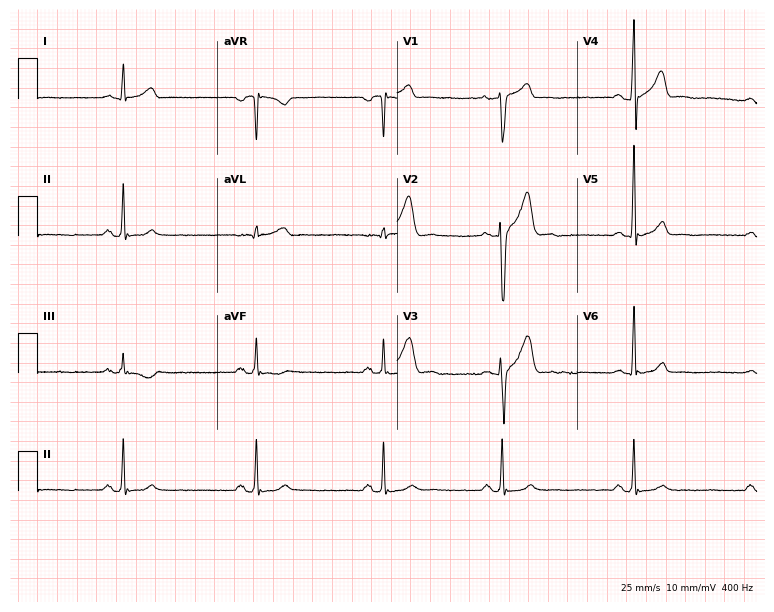
Resting 12-lead electrocardiogram (7.3-second recording at 400 Hz). Patient: a man, 34 years old. The tracing shows sinus bradycardia (a sinus rate of 50 beats per minute or less).